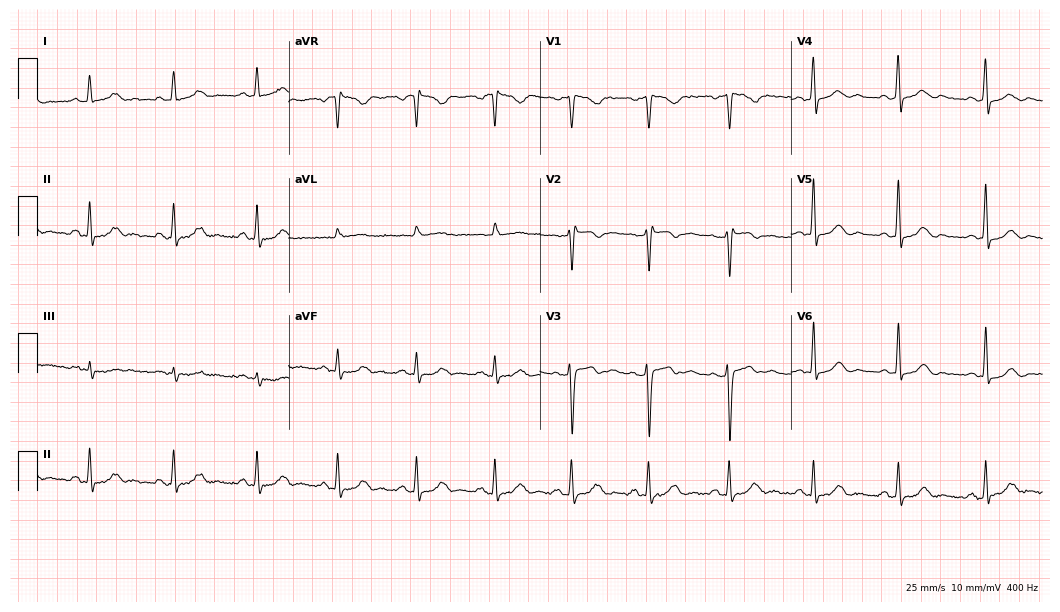
12-lead ECG (10.2-second recording at 400 Hz) from a male, 41 years old. Screened for six findings — first-degree AV block, right bundle branch block (RBBB), left bundle branch block (LBBB), sinus bradycardia, atrial fibrillation (AF), sinus tachycardia — none is recorded. Other findings, if any, are not listed.